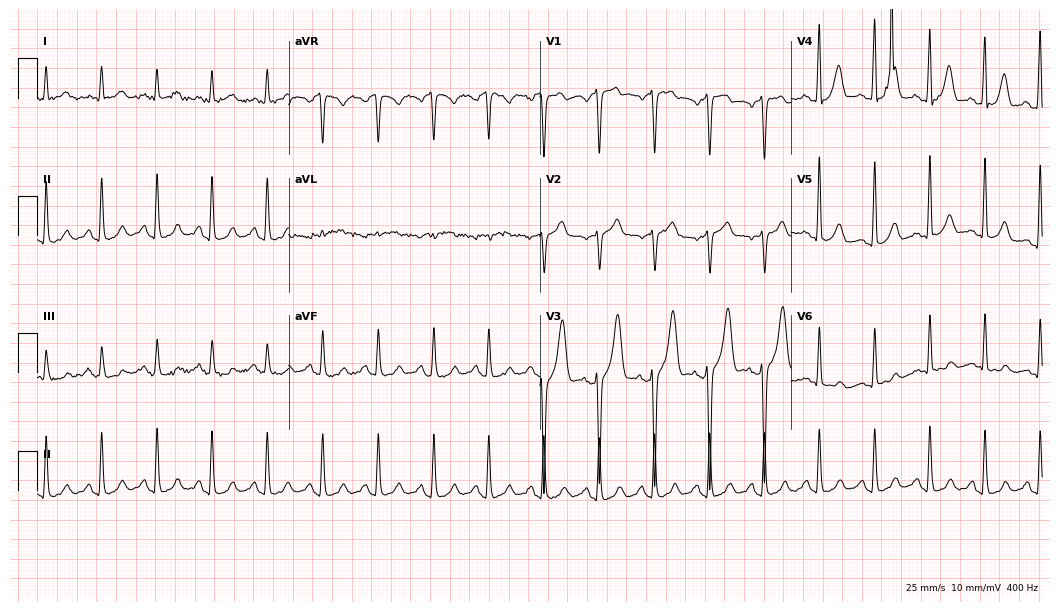
12-lead ECG (10.2-second recording at 400 Hz) from a male patient, 71 years old. Findings include sinus tachycardia (a sinus rate of 100 beats per minute or more).